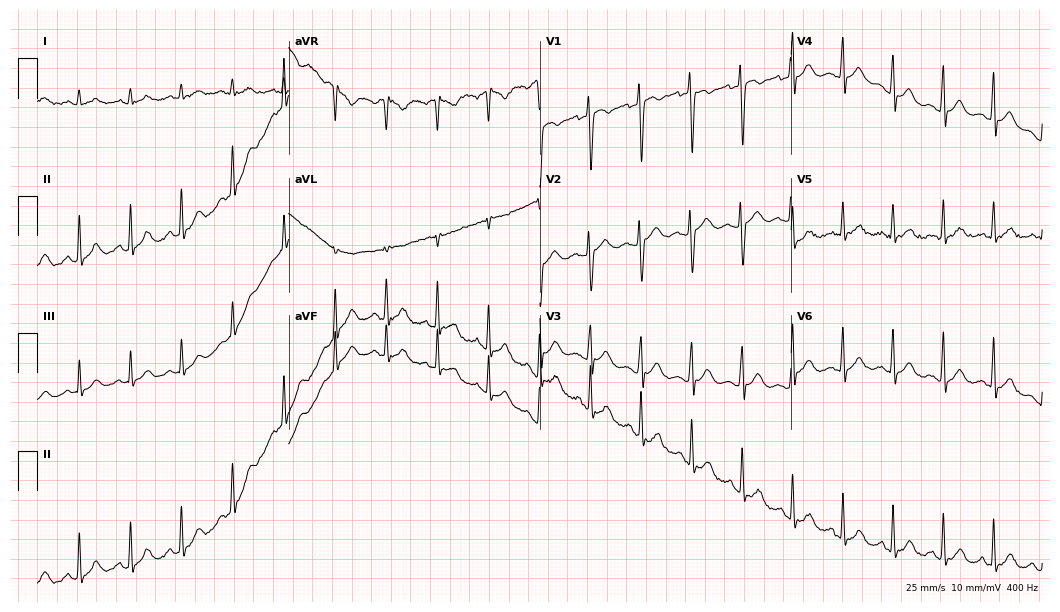
ECG — a 26-year-old male patient. Screened for six findings — first-degree AV block, right bundle branch block (RBBB), left bundle branch block (LBBB), sinus bradycardia, atrial fibrillation (AF), sinus tachycardia — none is recorded. Only these six findings were labelled.